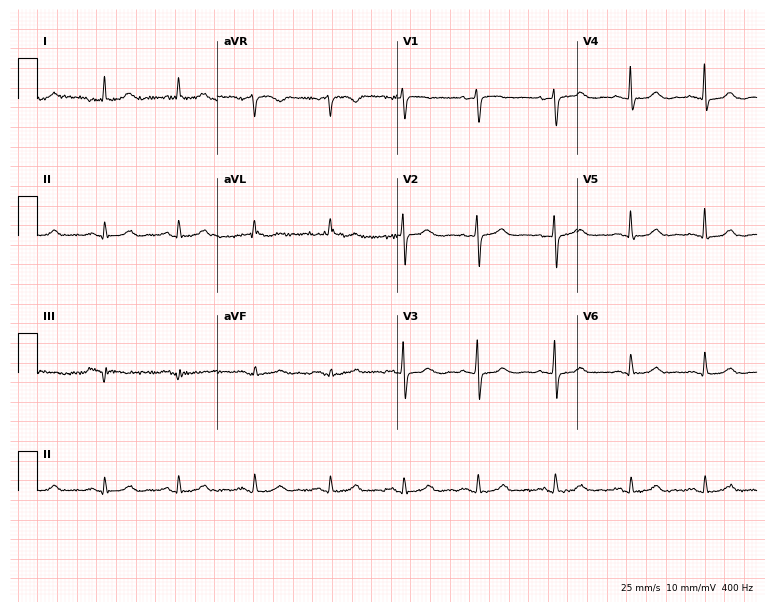
ECG (7.3-second recording at 400 Hz) — a 62-year-old woman. Screened for six findings — first-degree AV block, right bundle branch block (RBBB), left bundle branch block (LBBB), sinus bradycardia, atrial fibrillation (AF), sinus tachycardia — none is recorded. Only these six findings were labelled.